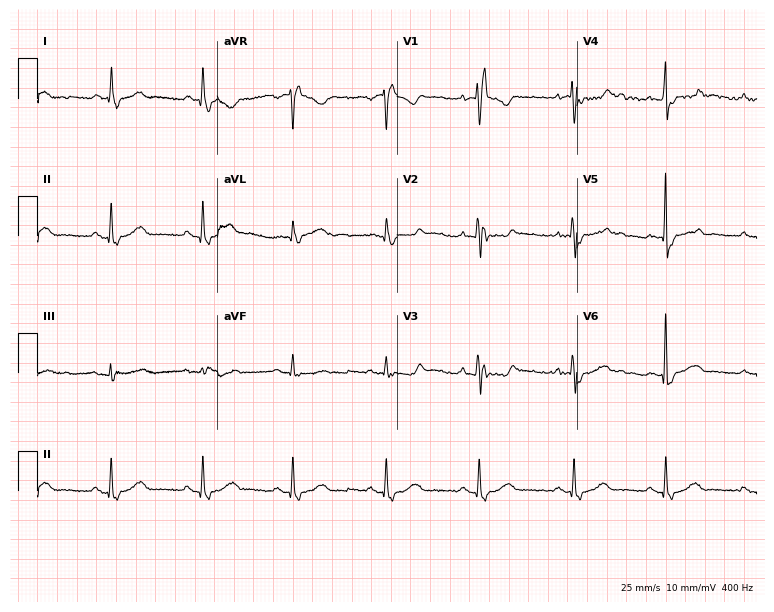
12-lead ECG from a 63-year-old female patient (7.3-second recording at 400 Hz). Shows right bundle branch block (RBBB).